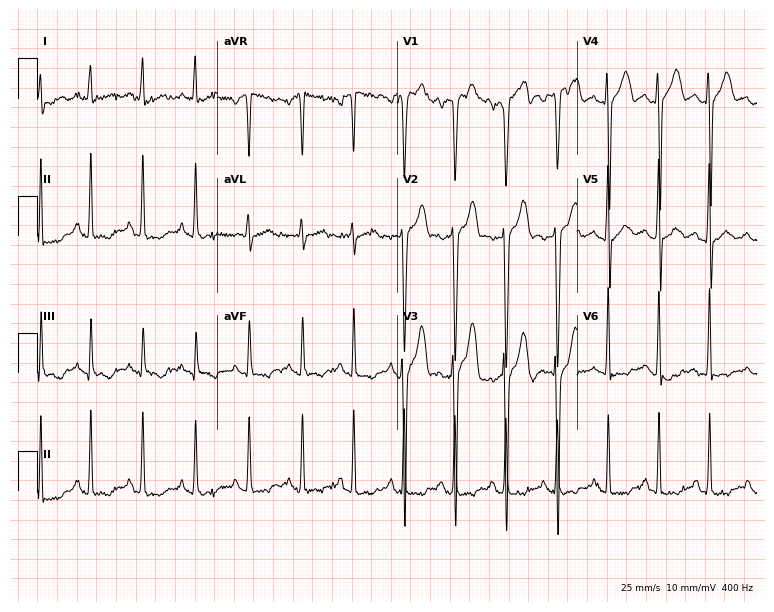
Standard 12-lead ECG recorded from a 26-year-old man (7.3-second recording at 400 Hz). The tracing shows sinus tachycardia (a sinus rate of 100 beats per minute or more).